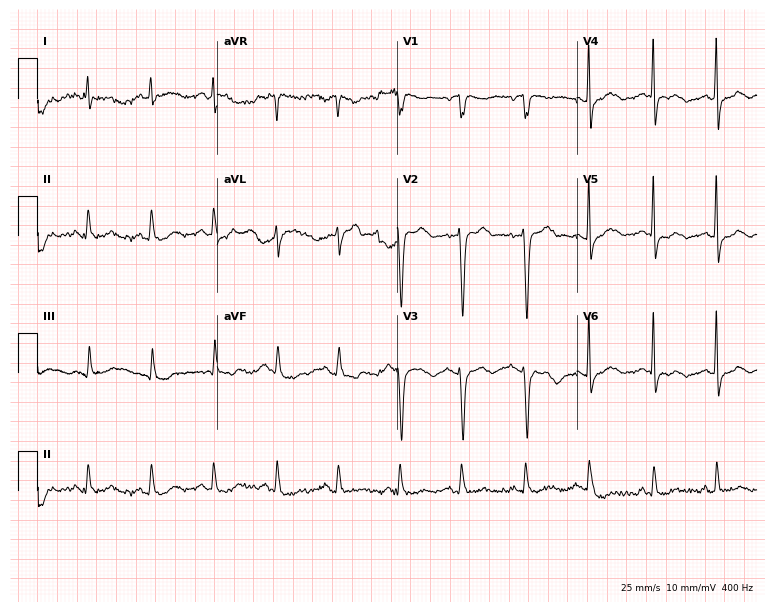
Electrocardiogram (7.3-second recording at 400 Hz), a 55-year-old male. Of the six screened findings (first-degree AV block, right bundle branch block, left bundle branch block, sinus bradycardia, atrial fibrillation, sinus tachycardia), none is recorded. Only these six findings were labelled.